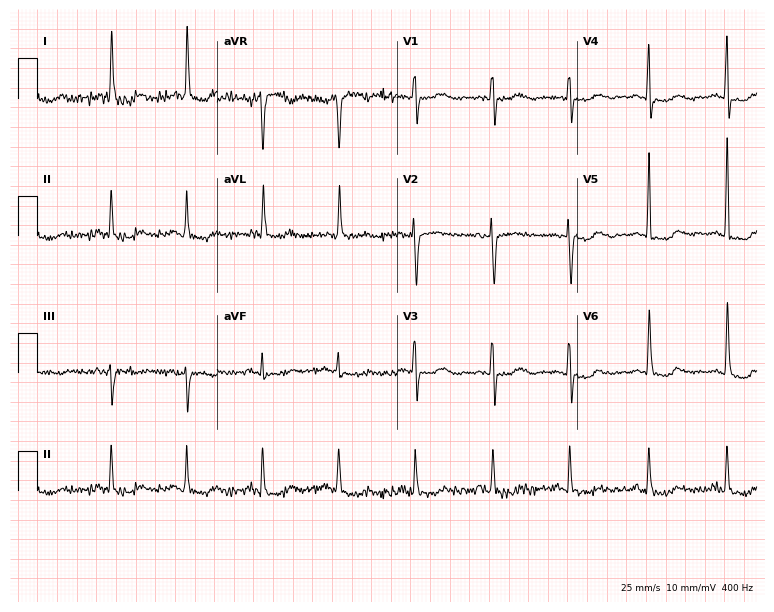
Electrocardiogram, a female, 72 years old. Of the six screened findings (first-degree AV block, right bundle branch block, left bundle branch block, sinus bradycardia, atrial fibrillation, sinus tachycardia), none is recorded. Findings outside these six are not listed.